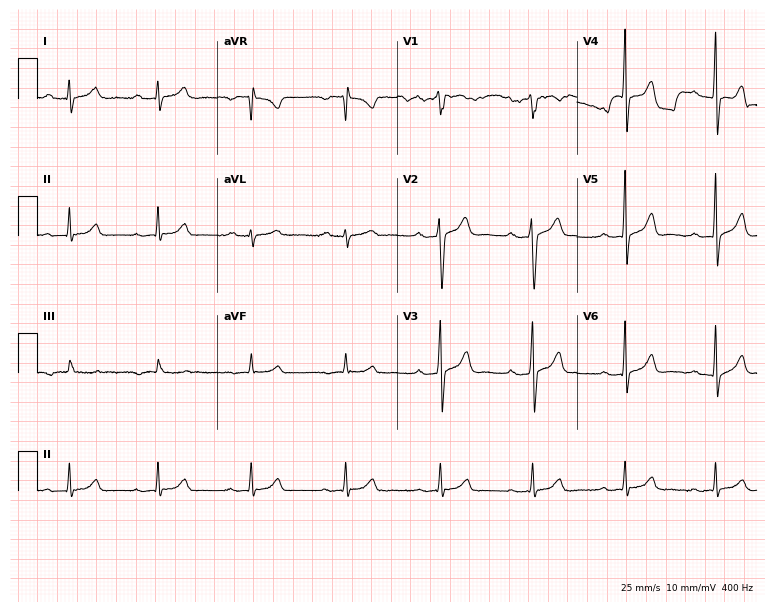
ECG (7.3-second recording at 400 Hz) — a 37-year-old male patient. Findings include first-degree AV block.